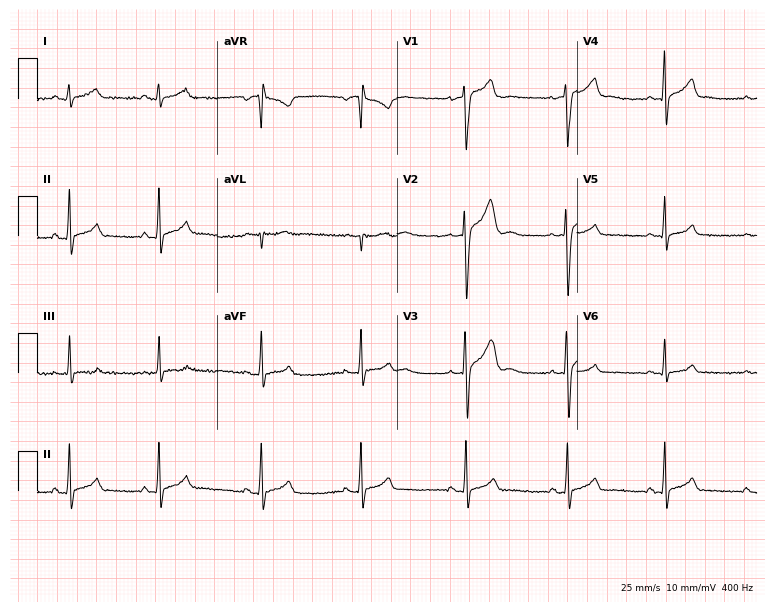
12-lead ECG from a male patient, 27 years old (7.3-second recording at 400 Hz). Recorded interpretation: within normal limits.